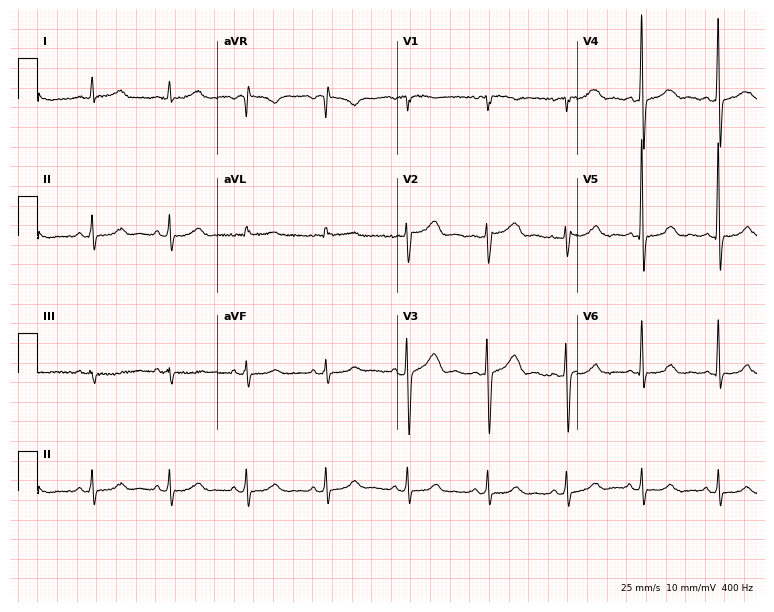
Standard 12-lead ECG recorded from a female patient, 40 years old (7.3-second recording at 400 Hz). None of these six findings is recorded: first-degree AV block, right bundle branch block (RBBB), left bundle branch block (LBBB), sinus bradycardia, atrial fibrillation (AF), sinus tachycardia. Findings outside these six are not listed.